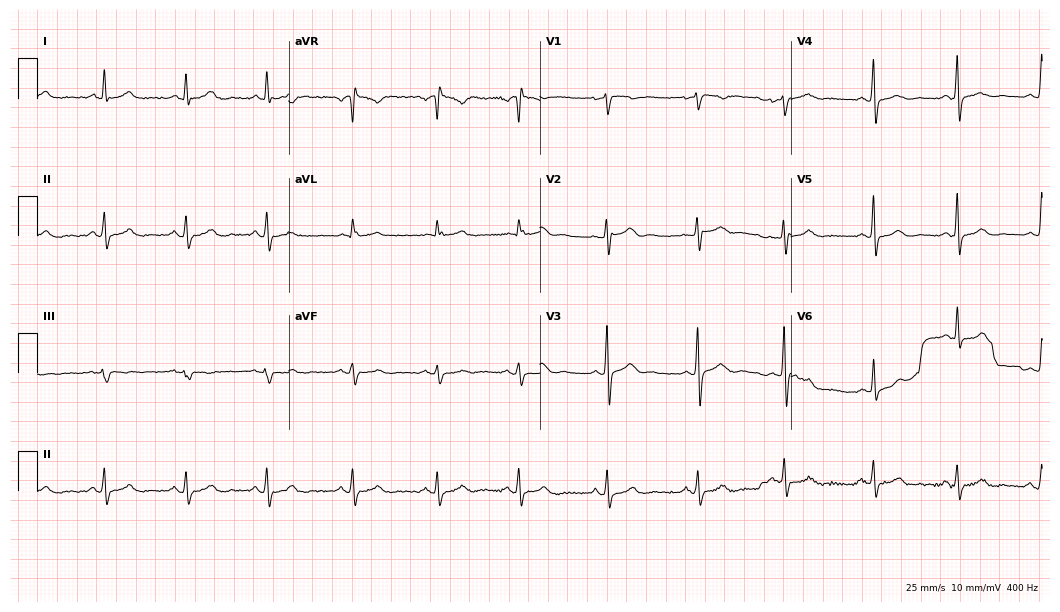
ECG (10.2-second recording at 400 Hz) — a 27-year-old female patient. Screened for six findings — first-degree AV block, right bundle branch block, left bundle branch block, sinus bradycardia, atrial fibrillation, sinus tachycardia — none is recorded.